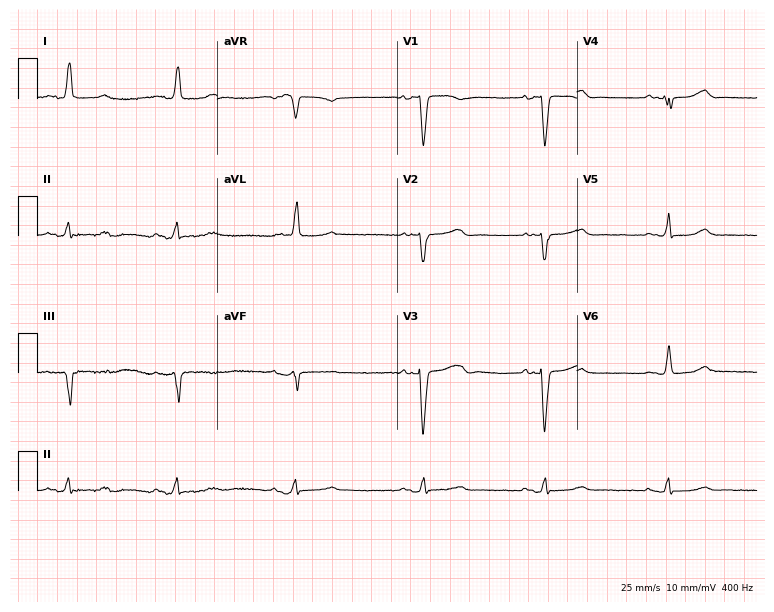
Electrocardiogram (7.3-second recording at 400 Hz), a female, 83 years old. Interpretation includes sinus bradycardia (a sinus rate of 50 beats per minute or less).